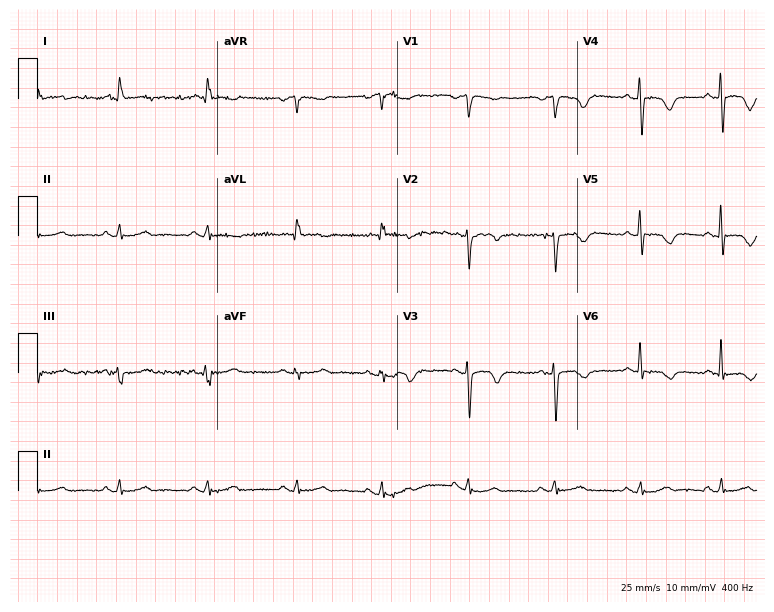
Standard 12-lead ECG recorded from a man, 70 years old. None of these six findings is recorded: first-degree AV block, right bundle branch block, left bundle branch block, sinus bradycardia, atrial fibrillation, sinus tachycardia.